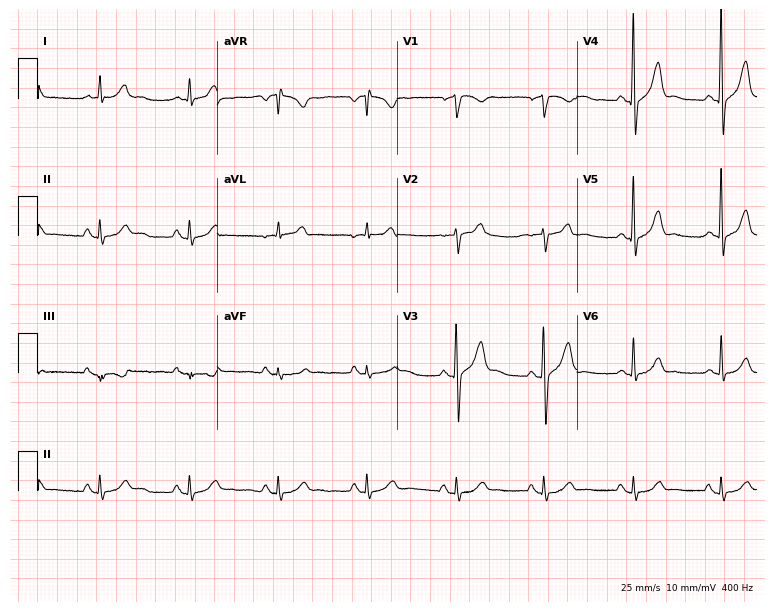
12-lead ECG (7.3-second recording at 400 Hz) from a 36-year-old man. Labelled as a normal ECG.